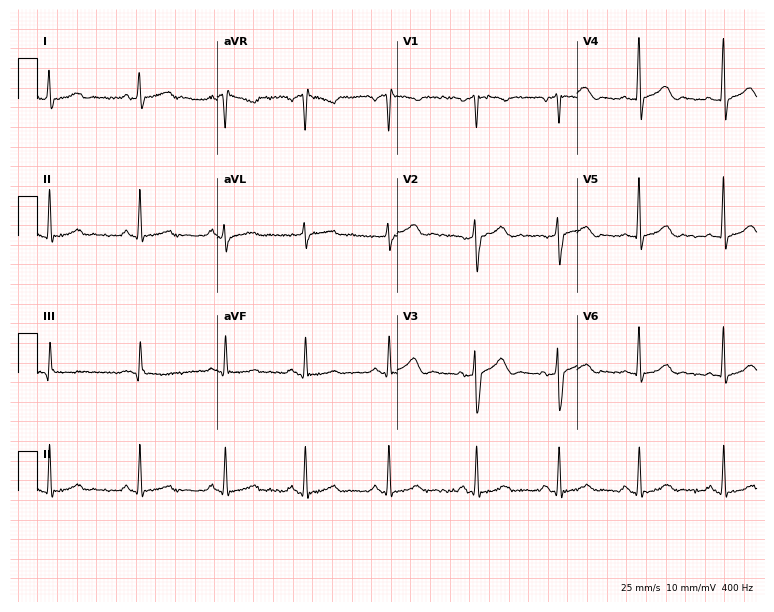
ECG (7.3-second recording at 400 Hz) — a female, 44 years old. Screened for six findings — first-degree AV block, right bundle branch block, left bundle branch block, sinus bradycardia, atrial fibrillation, sinus tachycardia — none is recorded. Other findings, if any, are not listed.